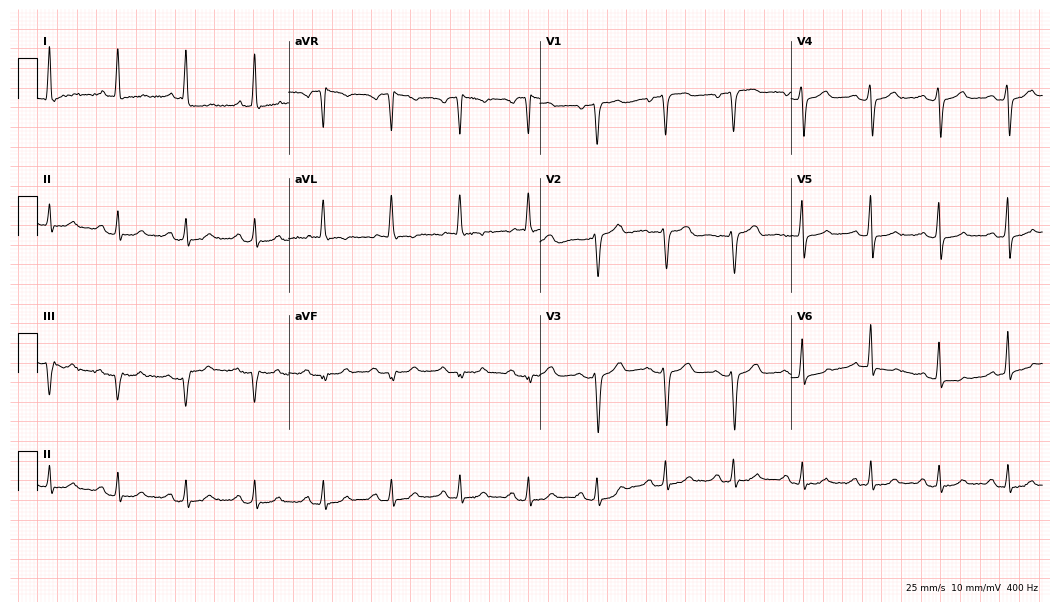
12-lead ECG from a female, 76 years old. No first-degree AV block, right bundle branch block, left bundle branch block, sinus bradycardia, atrial fibrillation or sinus tachycardia recorded for this tracing. Other findings, if any, are not listed.